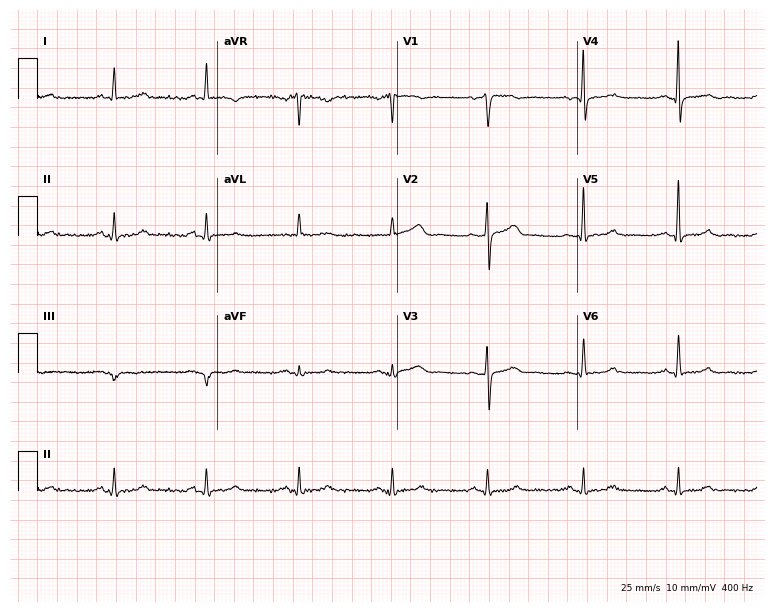
12-lead ECG from a 55-year-old male. Recorded interpretation: within normal limits.